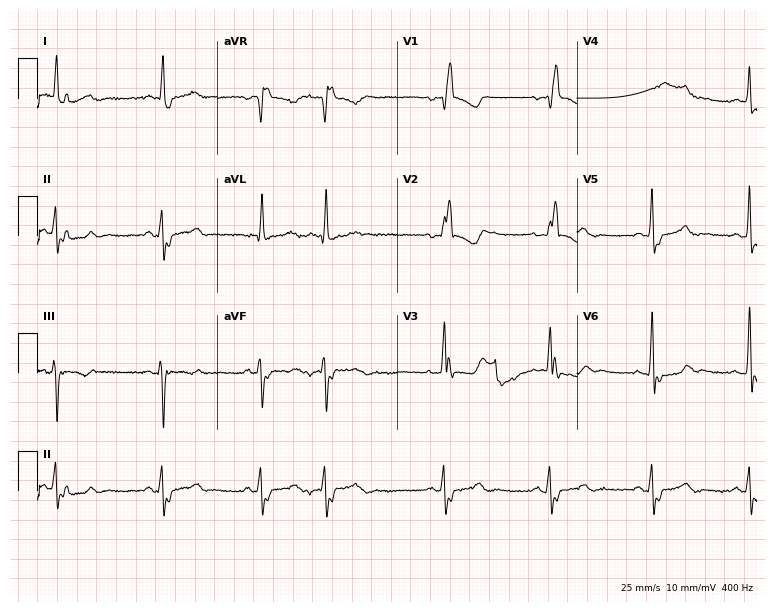
Resting 12-lead electrocardiogram. Patient: a 58-year-old woman. The tracing shows right bundle branch block (RBBB).